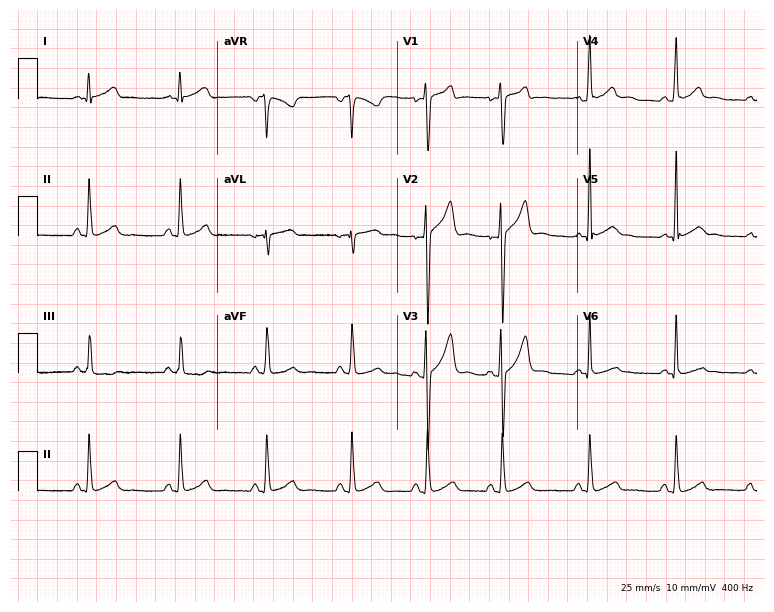
ECG — a 20-year-old man. Labelled as a normal ECG.